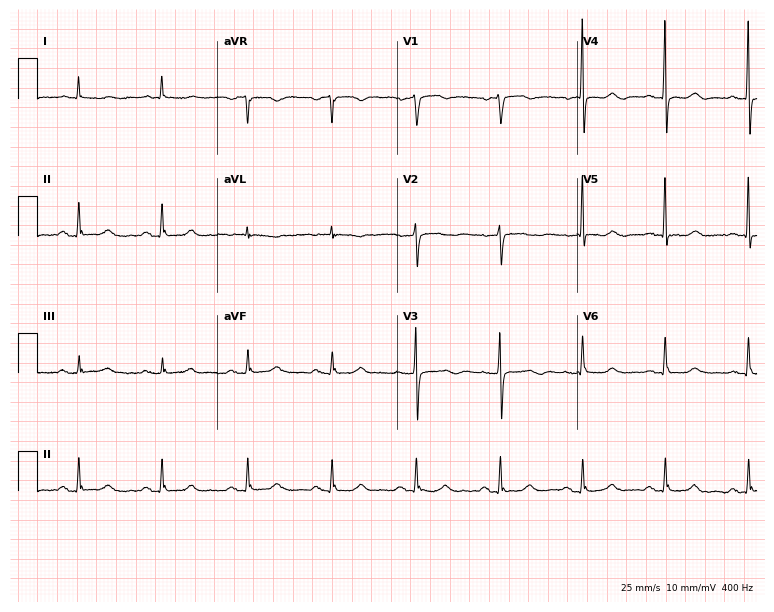
Standard 12-lead ECG recorded from a woman, 75 years old. None of these six findings is recorded: first-degree AV block, right bundle branch block (RBBB), left bundle branch block (LBBB), sinus bradycardia, atrial fibrillation (AF), sinus tachycardia.